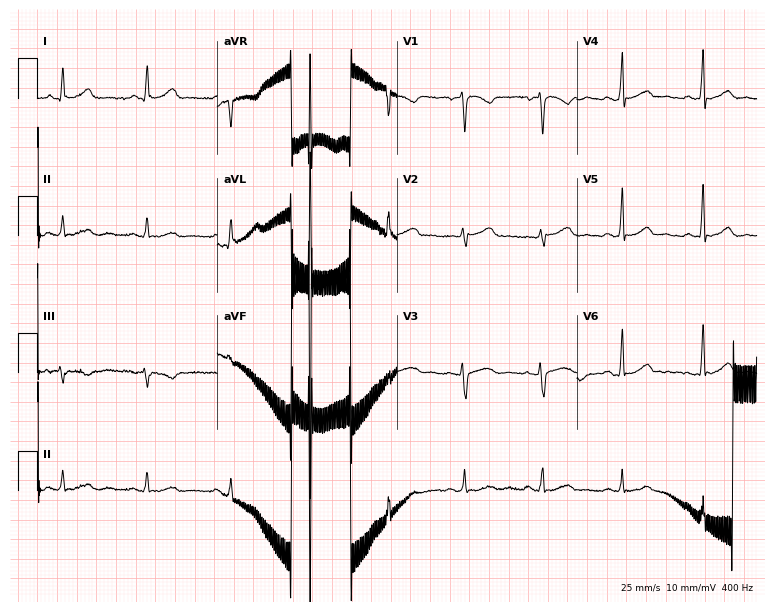
Electrocardiogram (7.3-second recording at 400 Hz), a female, 37 years old. Overall reading on record: normal ECG.